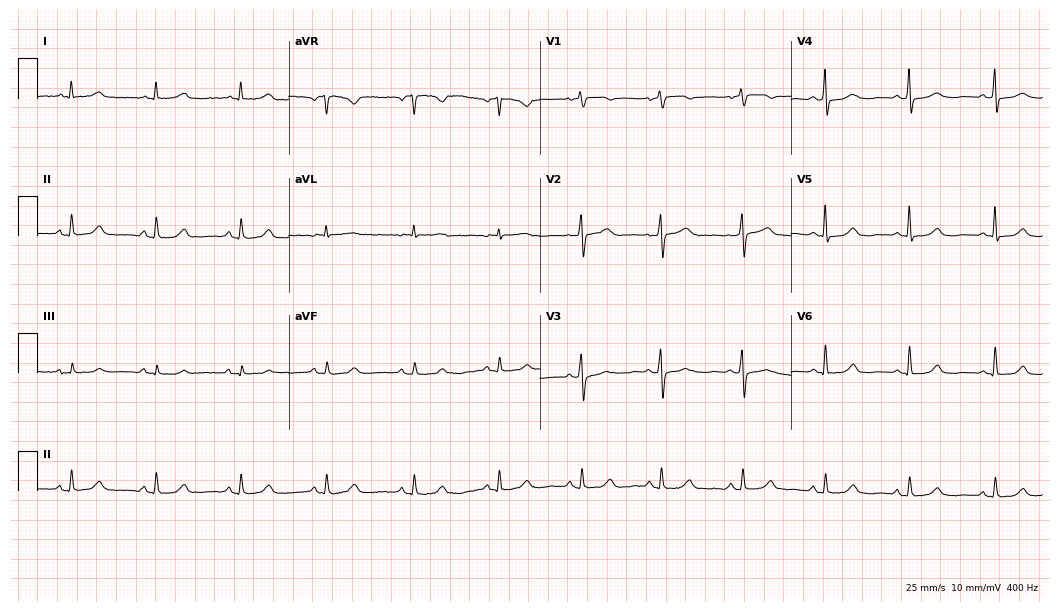
Resting 12-lead electrocardiogram. Patient: a 59-year-old female. Read as a normal ECG.